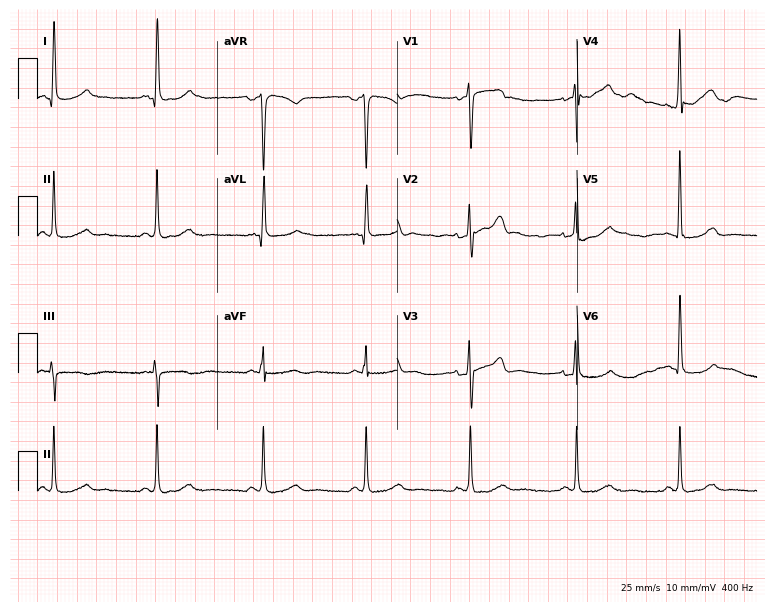
Electrocardiogram, a female patient, 48 years old. Overall reading on record: normal ECG.